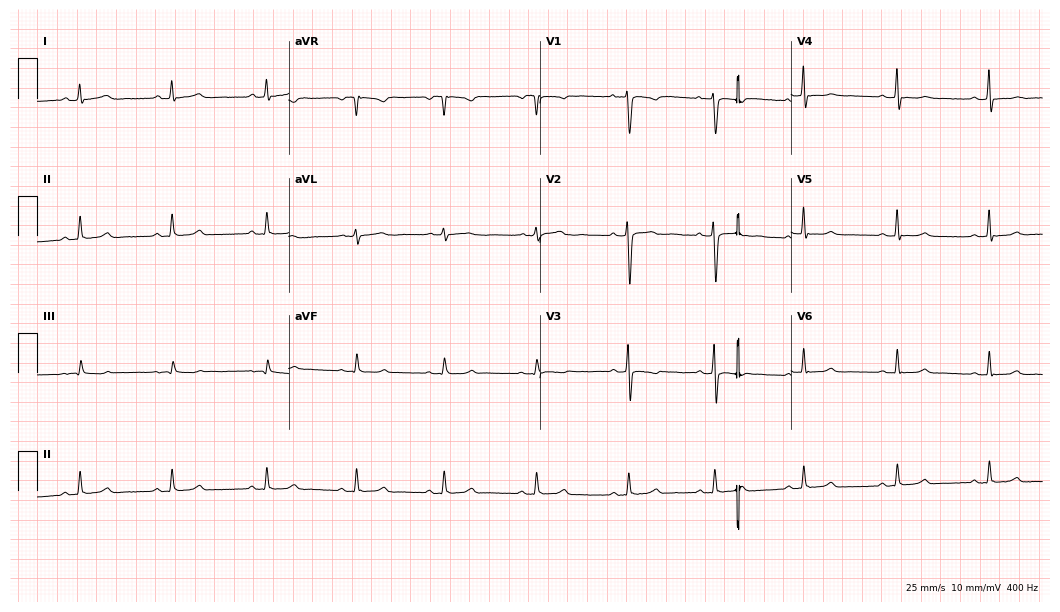
Resting 12-lead electrocardiogram (10.2-second recording at 400 Hz). Patient: a female, 35 years old. None of these six findings is recorded: first-degree AV block, right bundle branch block, left bundle branch block, sinus bradycardia, atrial fibrillation, sinus tachycardia. Other findings, if any, are not listed.